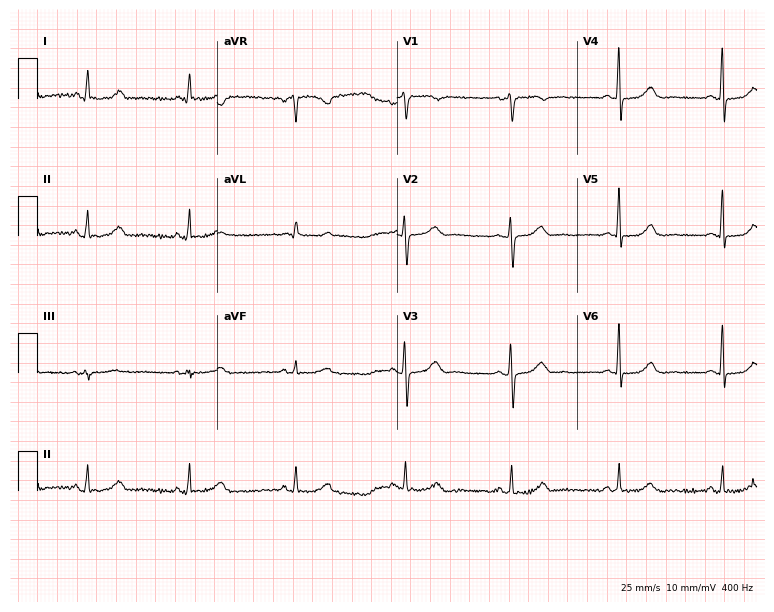
Electrocardiogram, a female patient, 46 years old. Overall reading on record: normal ECG.